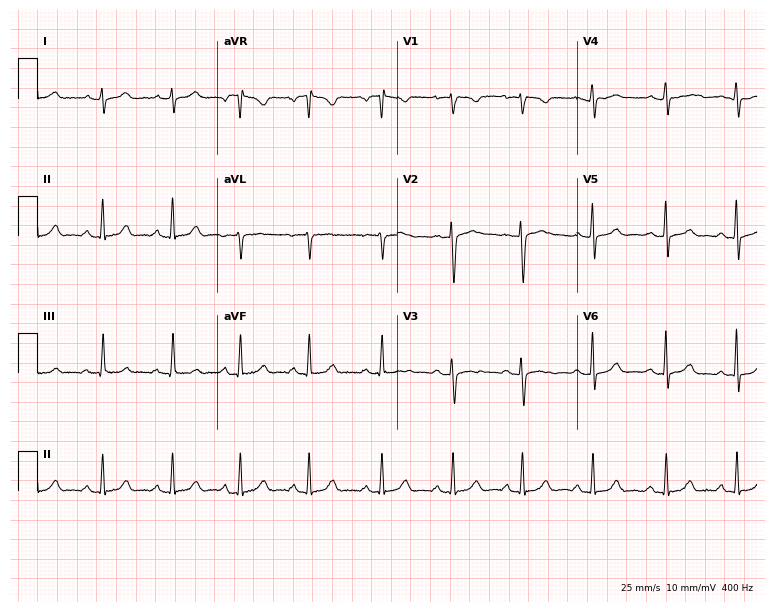
Electrocardiogram, a 36-year-old female. Of the six screened findings (first-degree AV block, right bundle branch block (RBBB), left bundle branch block (LBBB), sinus bradycardia, atrial fibrillation (AF), sinus tachycardia), none is recorded. Only these six findings were labelled.